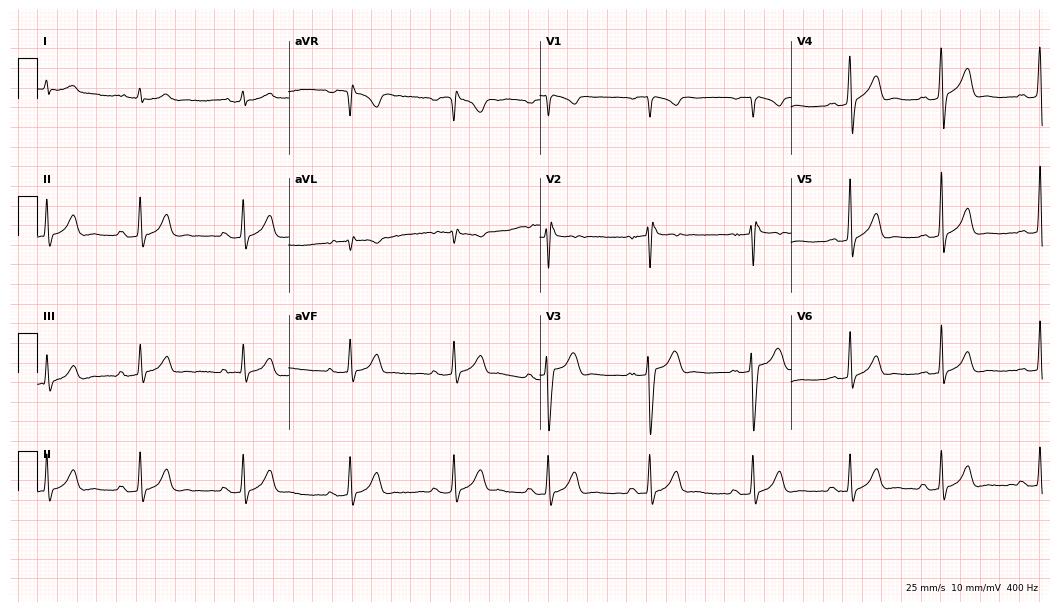
ECG (10.2-second recording at 400 Hz) — a man, 47 years old. Labelled as a normal ECG.